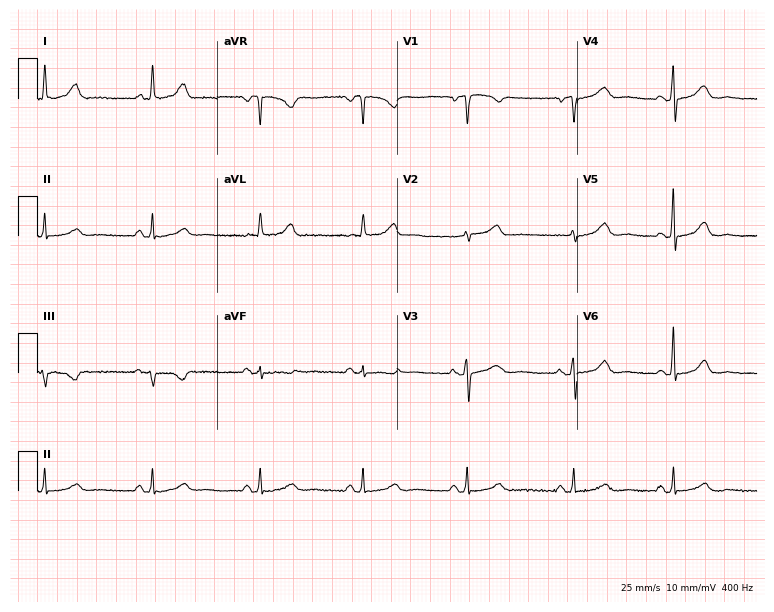
12-lead ECG from a female, 53 years old. Recorded interpretation: within normal limits.